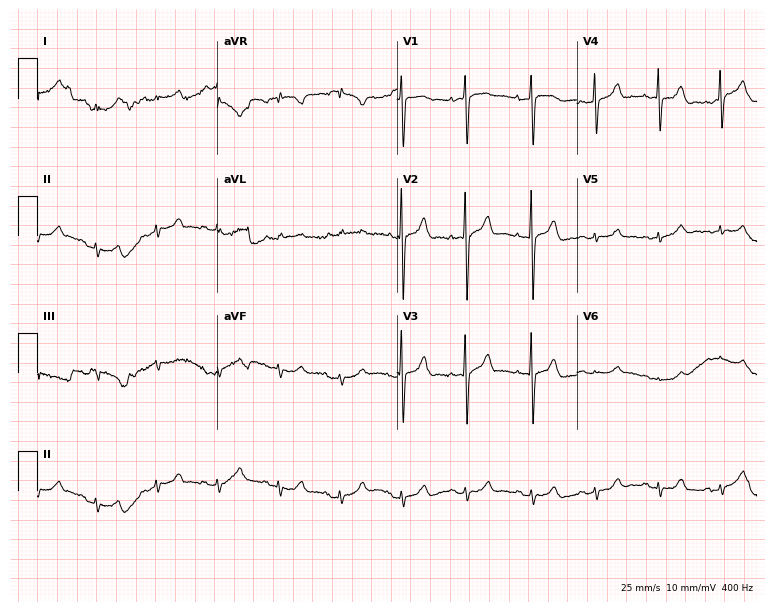
Electrocardiogram, a 78-year-old woman. Of the six screened findings (first-degree AV block, right bundle branch block (RBBB), left bundle branch block (LBBB), sinus bradycardia, atrial fibrillation (AF), sinus tachycardia), none is recorded.